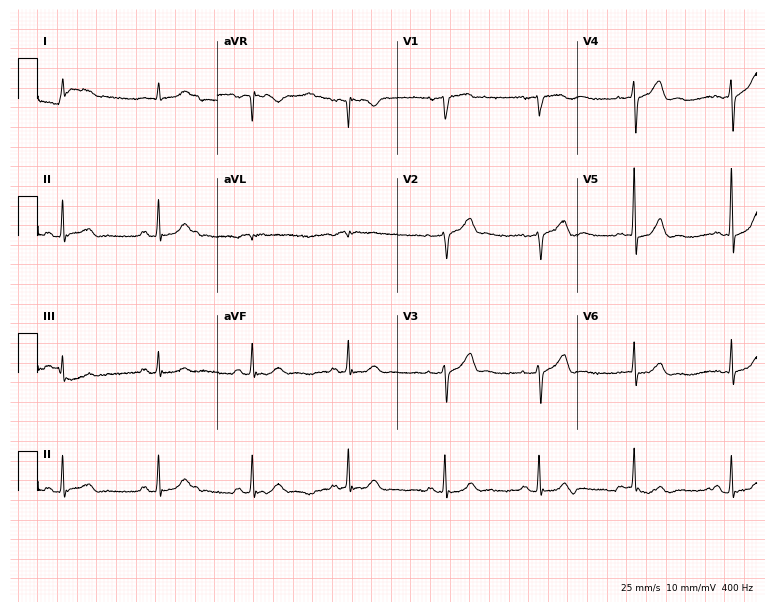
Resting 12-lead electrocardiogram (7.3-second recording at 400 Hz). Patient: a male, 69 years old. Read as a normal ECG.